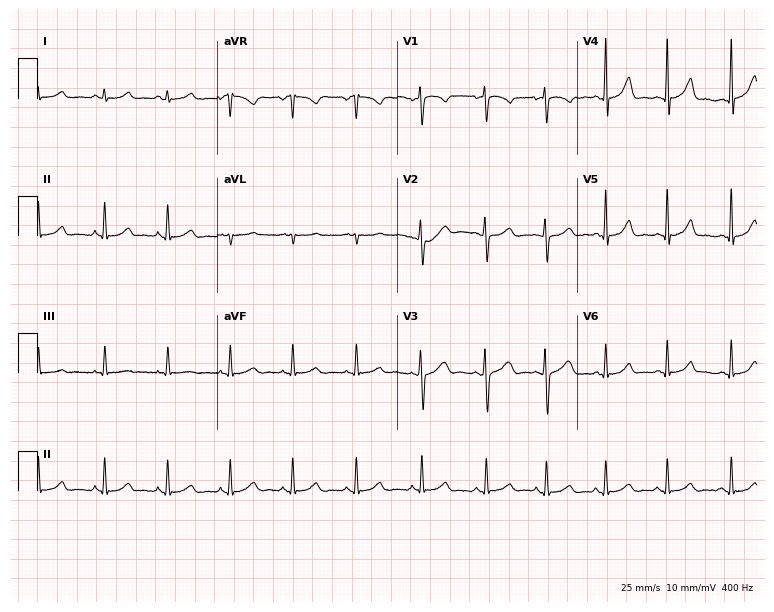
Electrocardiogram, a 22-year-old woman. Of the six screened findings (first-degree AV block, right bundle branch block (RBBB), left bundle branch block (LBBB), sinus bradycardia, atrial fibrillation (AF), sinus tachycardia), none is recorded.